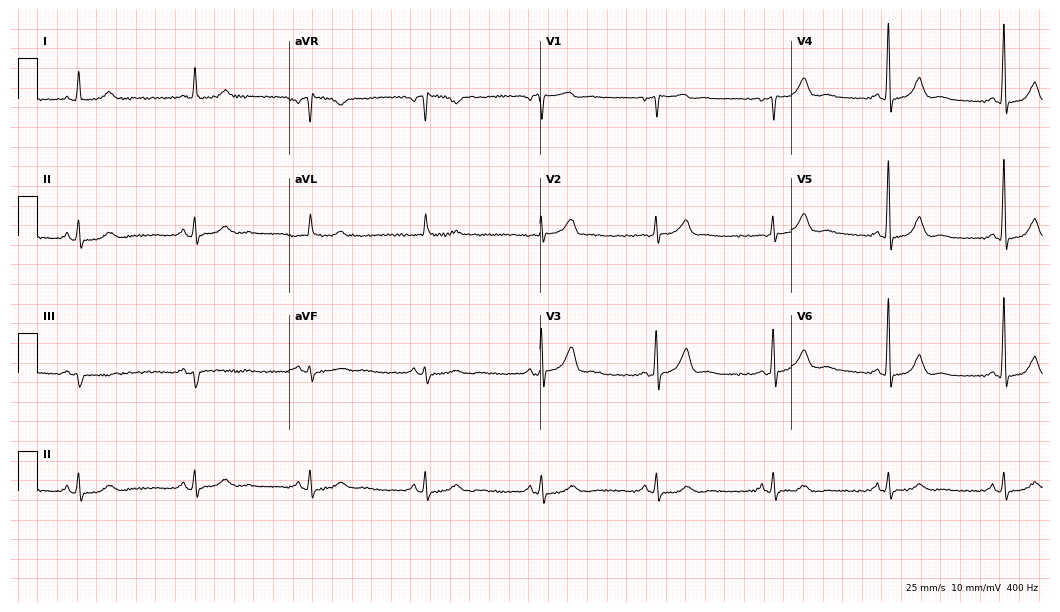
Standard 12-lead ECG recorded from a male patient, 68 years old. The tracing shows sinus bradycardia (a sinus rate of 50 beats per minute or less).